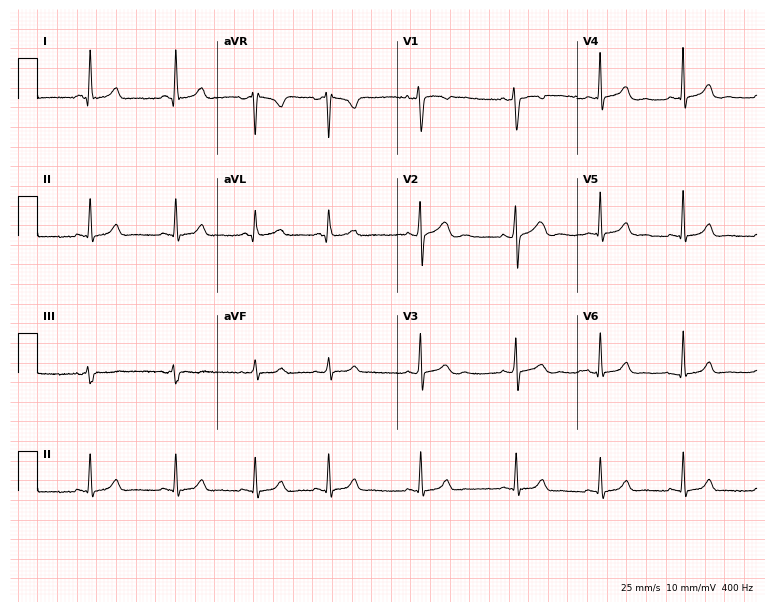
12-lead ECG from a woman, 27 years old (7.3-second recording at 400 Hz). Recorded interpretation: within normal limits.